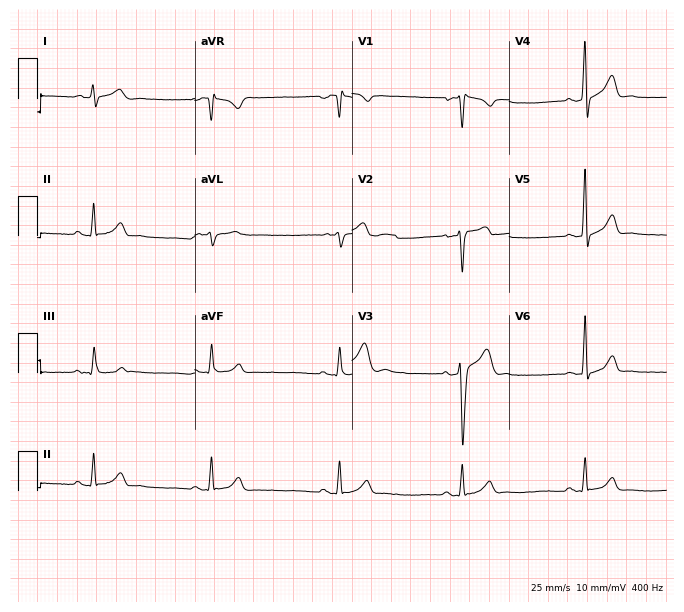
12-lead ECG from a 32-year-old man. Screened for six findings — first-degree AV block, right bundle branch block, left bundle branch block, sinus bradycardia, atrial fibrillation, sinus tachycardia — none is recorded.